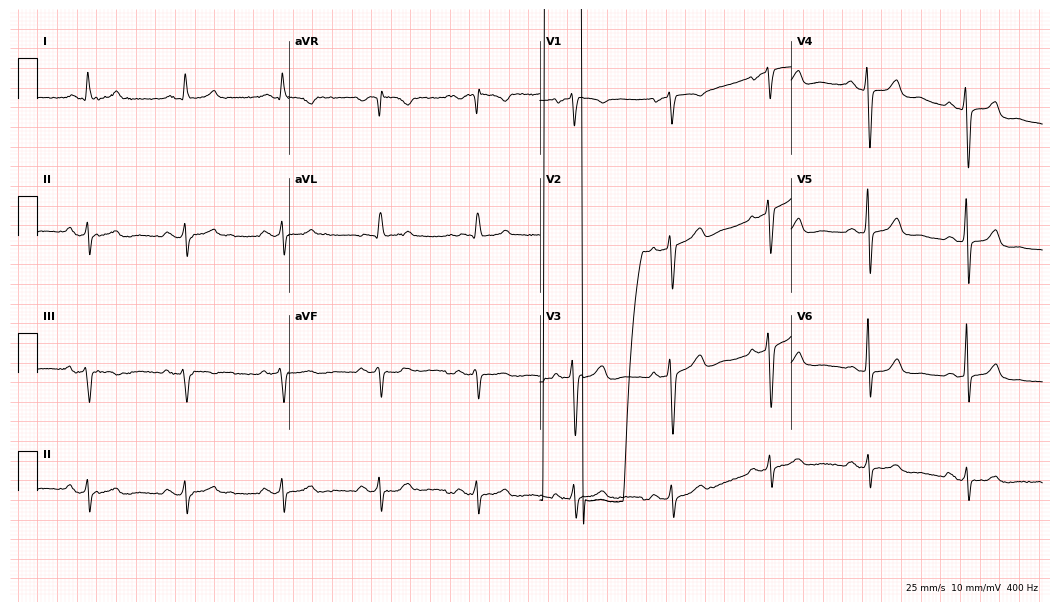
Resting 12-lead electrocardiogram (10.2-second recording at 400 Hz). Patient: an 84-year-old male. The tracing shows atrial fibrillation.